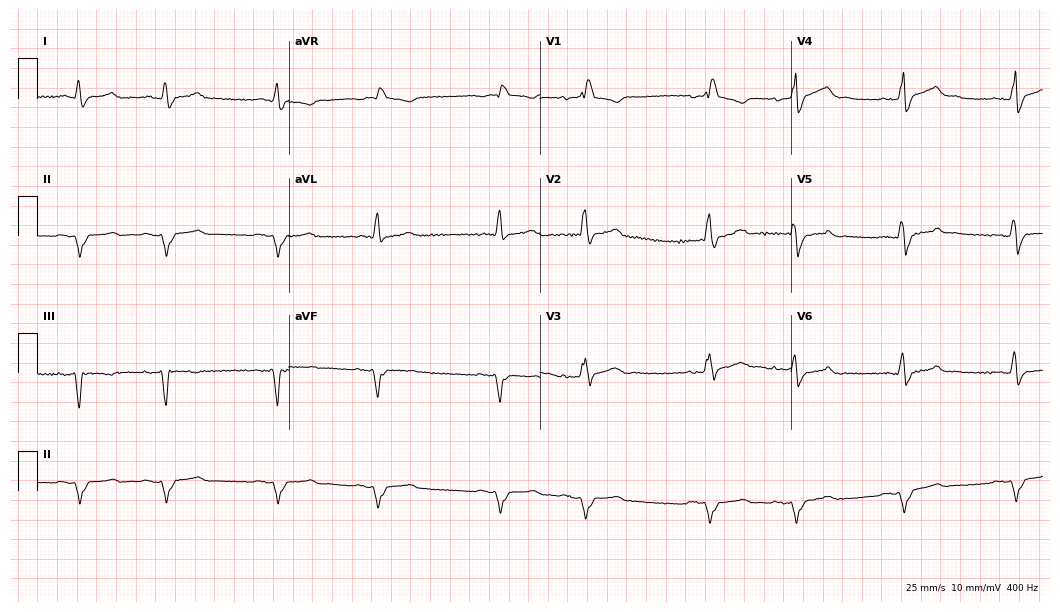
12-lead ECG from a man, 75 years old (10.2-second recording at 400 Hz). Shows right bundle branch block (RBBB).